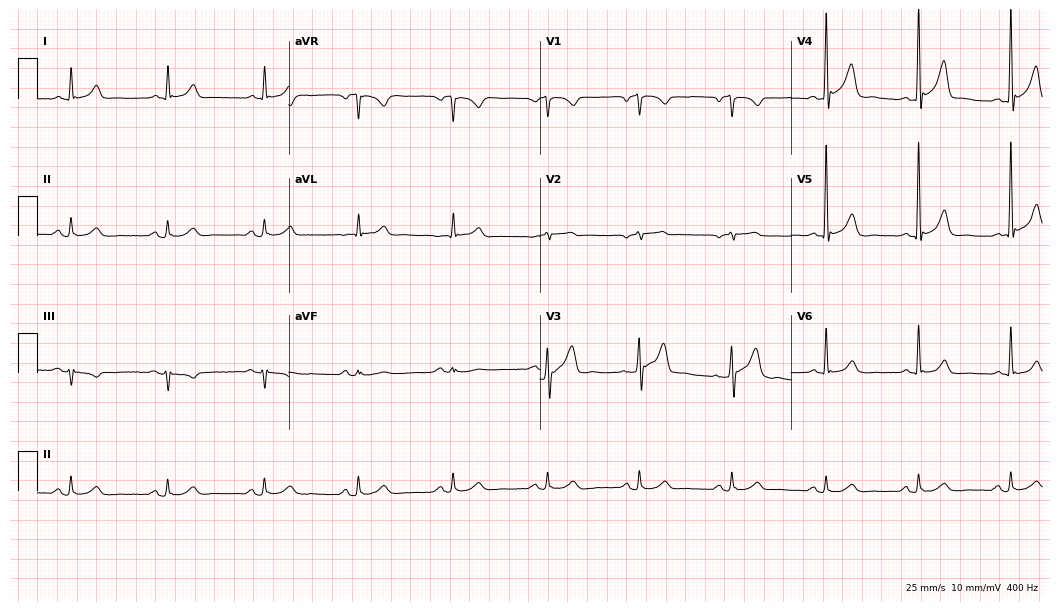
12-lead ECG from a 68-year-old man (10.2-second recording at 400 Hz). Recorded interpretation: within normal limits.